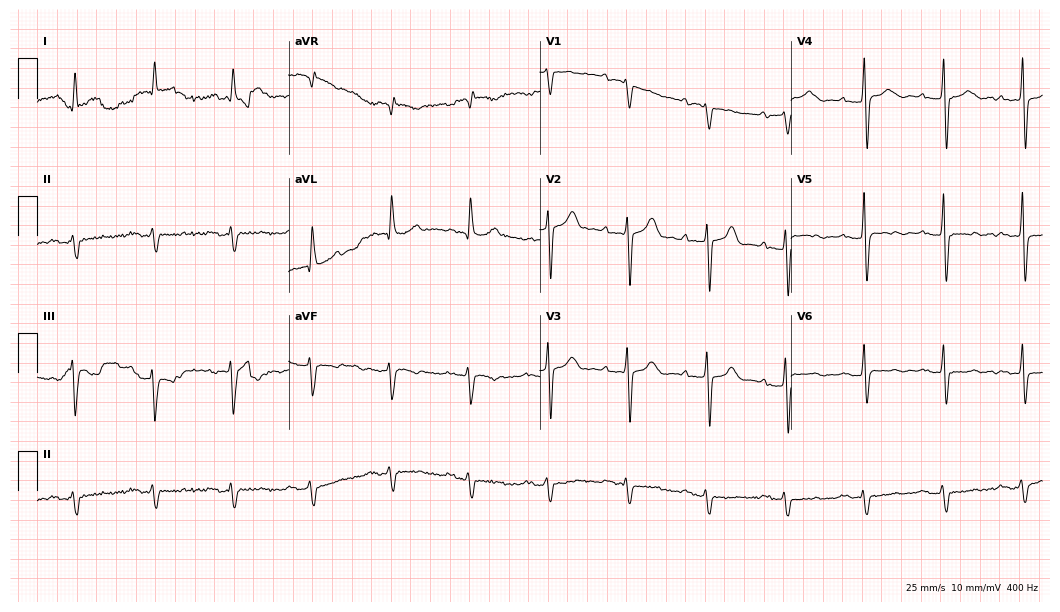
Standard 12-lead ECG recorded from a 75-year-old man. None of these six findings is recorded: first-degree AV block, right bundle branch block, left bundle branch block, sinus bradycardia, atrial fibrillation, sinus tachycardia. Other findings, if any, are not listed.